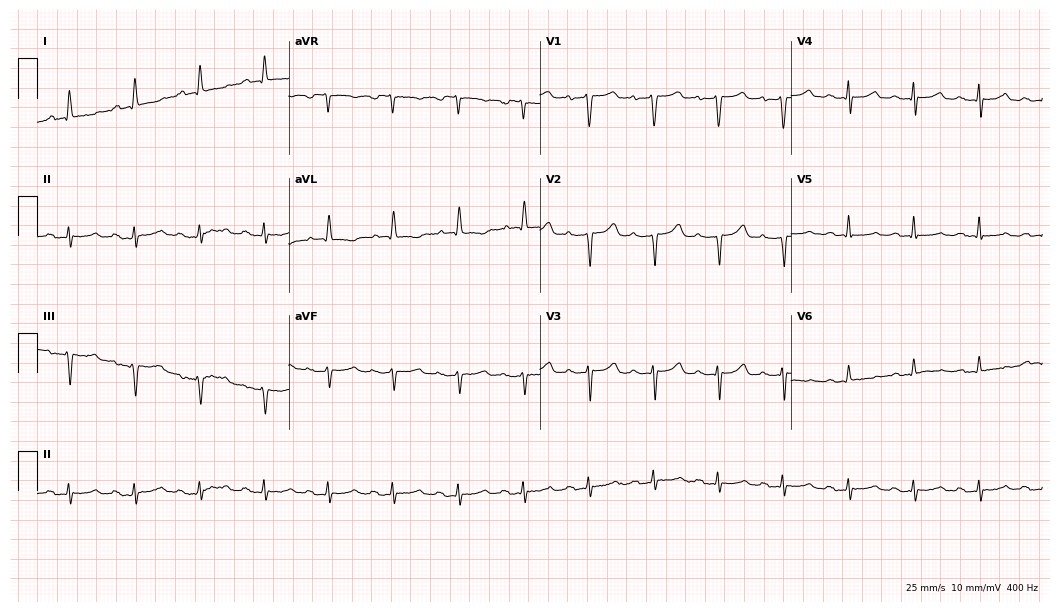
Resting 12-lead electrocardiogram (10.2-second recording at 400 Hz). Patient: a woman, 62 years old. The tracing shows first-degree AV block.